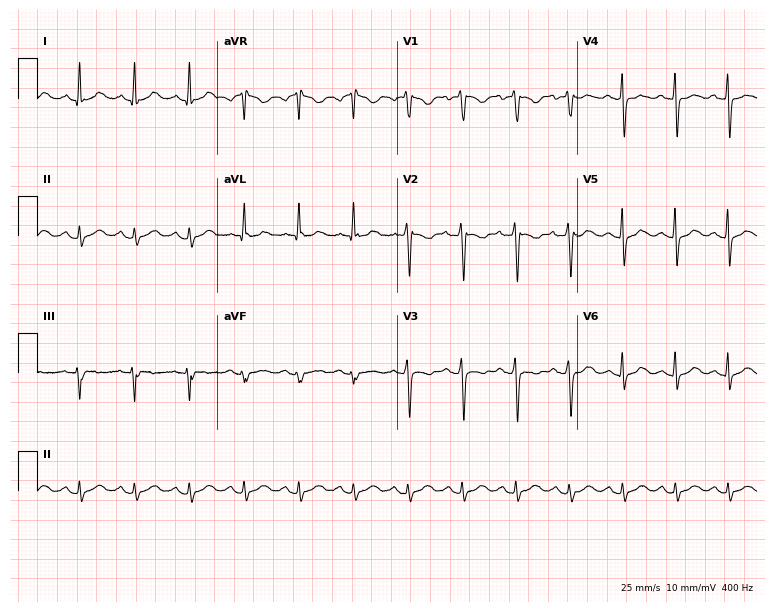
ECG (7.3-second recording at 400 Hz) — a 42-year-old female patient. Findings include sinus tachycardia (a sinus rate of 100 beats per minute or more).